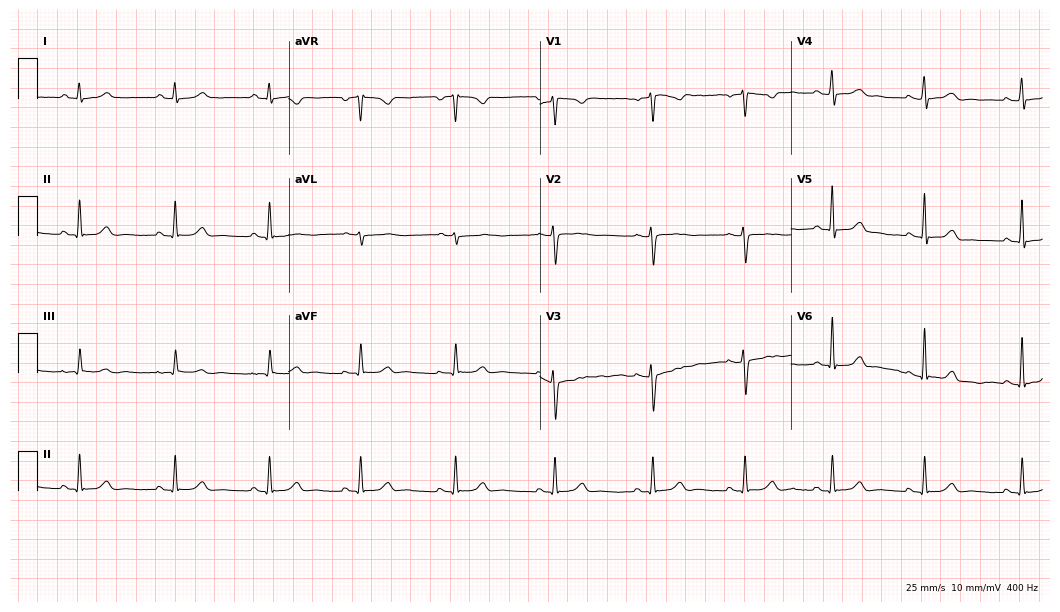
Electrocardiogram, a 47-year-old female patient. Overall reading on record: normal ECG.